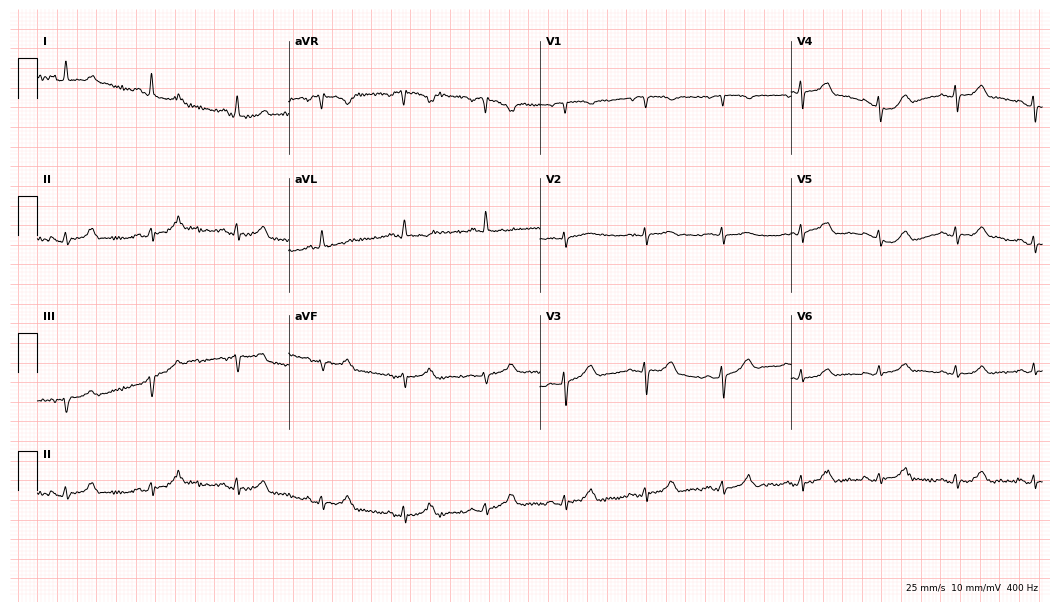
Electrocardiogram (10.2-second recording at 400 Hz), a woman, 81 years old. Of the six screened findings (first-degree AV block, right bundle branch block, left bundle branch block, sinus bradycardia, atrial fibrillation, sinus tachycardia), none is recorded.